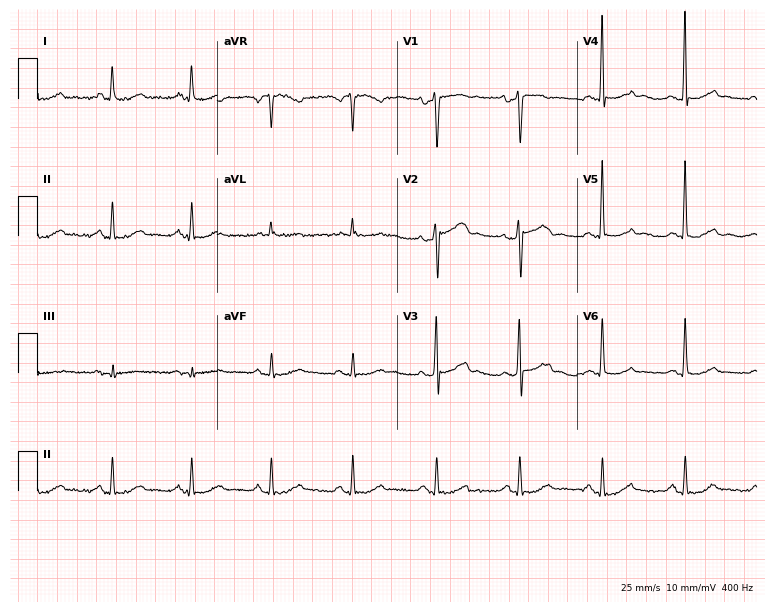
Resting 12-lead electrocardiogram. Patient: a 55-year-old man. Read as a normal ECG.